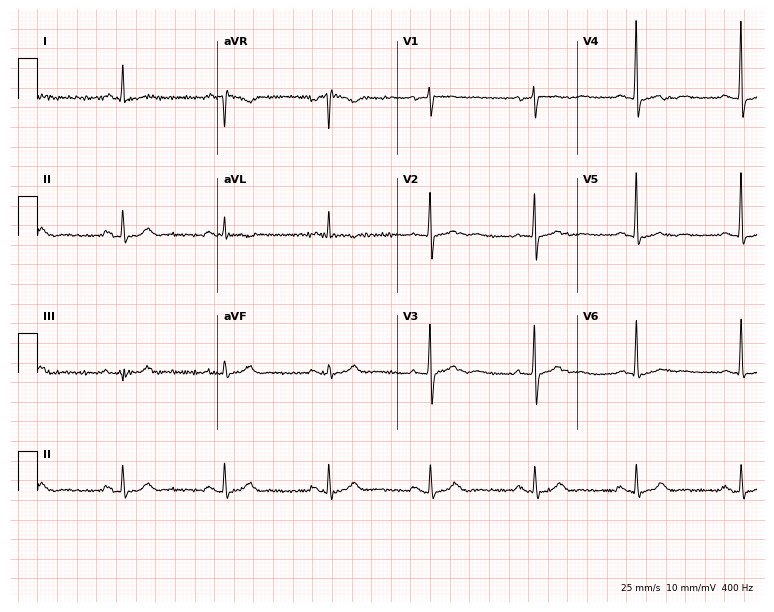
12-lead ECG (7.3-second recording at 400 Hz) from a female, 76 years old. Screened for six findings — first-degree AV block, right bundle branch block, left bundle branch block, sinus bradycardia, atrial fibrillation, sinus tachycardia — none is recorded. Findings outside these six are not listed.